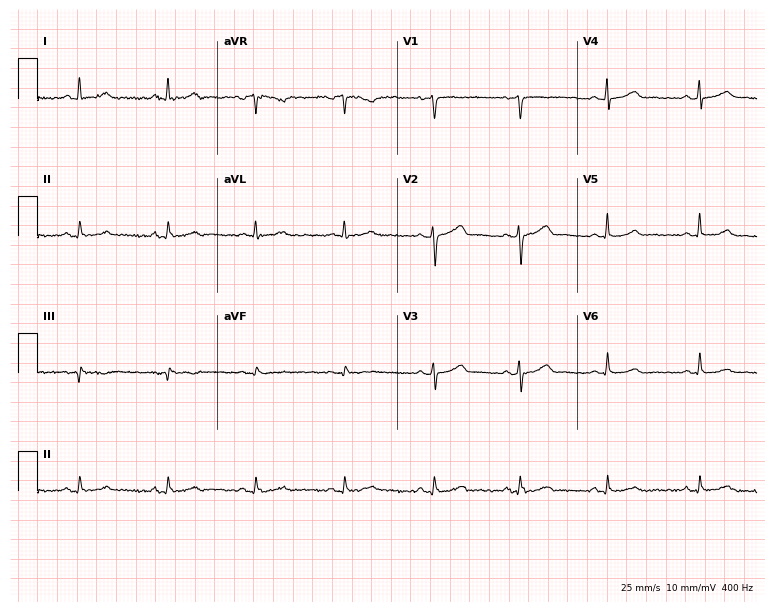
12-lead ECG from a female patient, 44 years old (7.3-second recording at 400 Hz). Recorded interpretation: within normal limits.